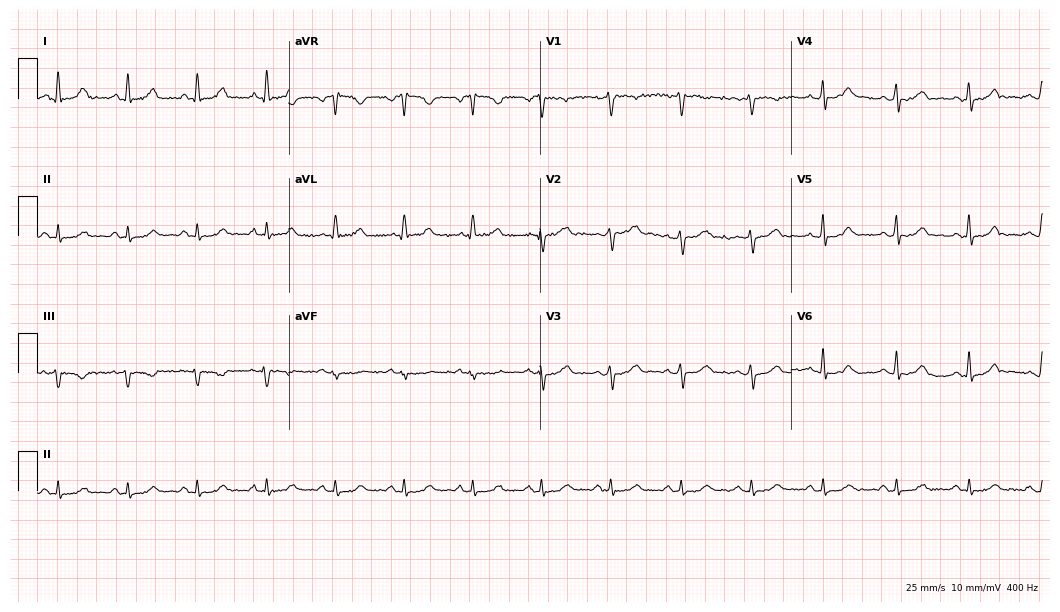
Resting 12-lead electrocardiogram (10.2-second recording at 400 Hz). Patient: a 28-year-old female. Read as a normal ECG.